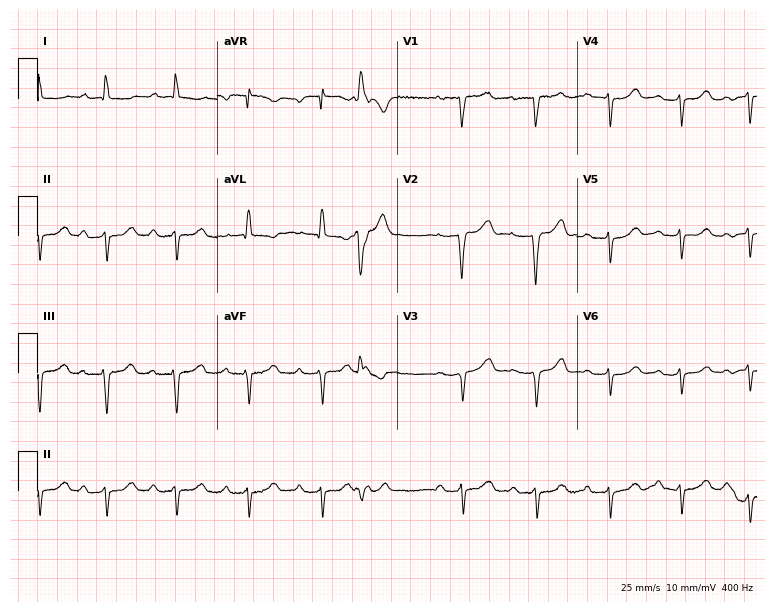
12-lead ECG from an 83-year-old female patient (7.3-second recording at 400 Hz). No first-degree AV block, right bundle branch block, left bundle branch block, sinus bradycardia, atrial fibrillation or sinus tachycardia recorded for this tracing. Other findings, if any, are not listed.